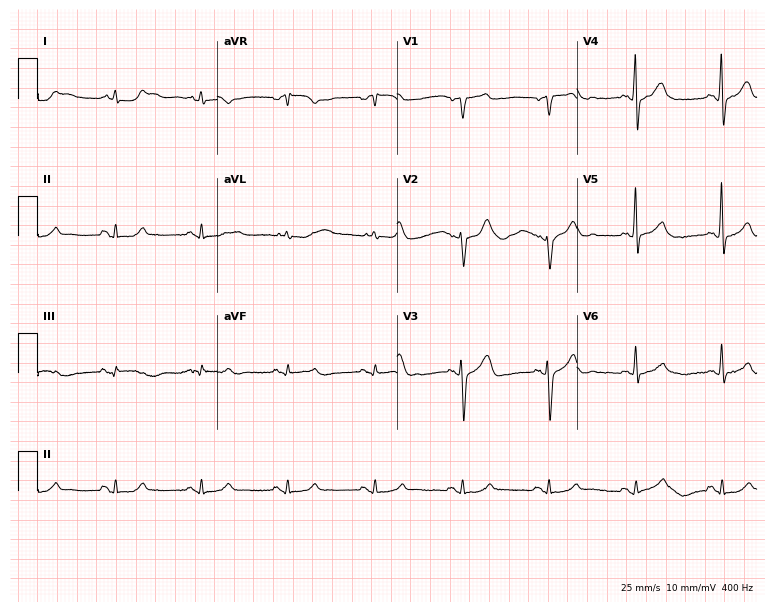
Standard 12-lead ECG recorded from a 60-year-old male (7.3-second recording at 400 Hz). None of these six findings is recorded: first-degree AV block, right bundle branch block, left bundle branch block, sinus bradycardia, atrial fibrillation, sinus tachycardia. Other findings, if any, are not listed.